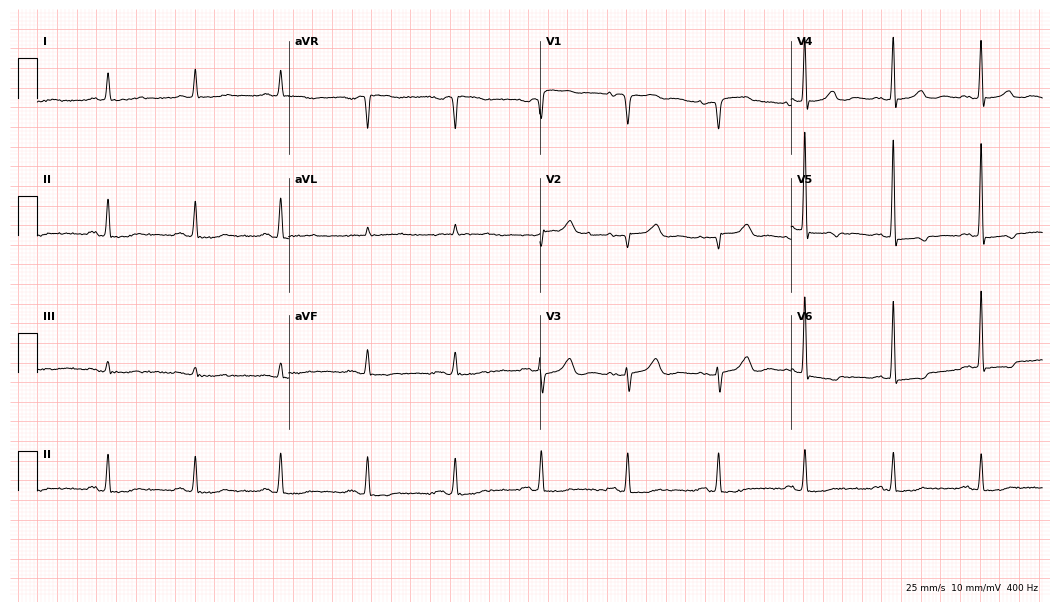
12-lead ECG from a female, 85 years old. No first-degree AV block, right bundle branch block, left bundle branch block, sinus bradycardia, atrial fibrillation or sinus tachycardia recorded for this tracing. Only these six findings were labelled.